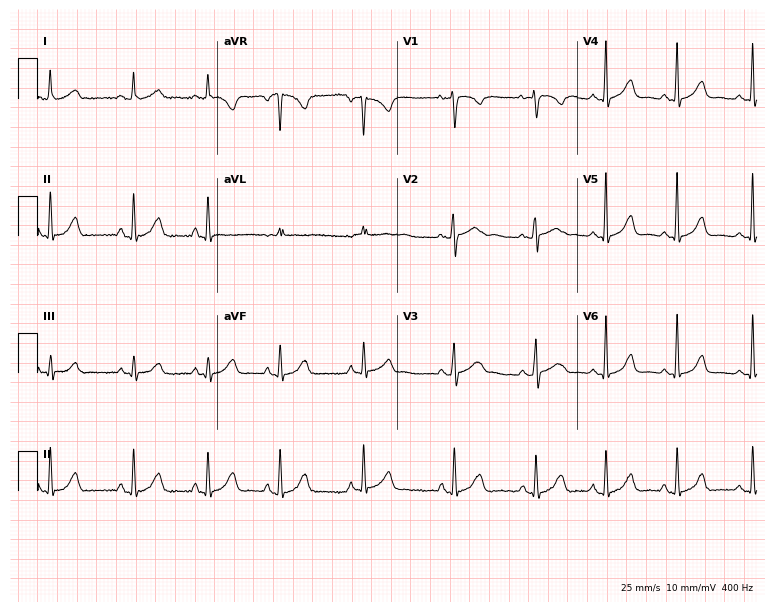
ECG (7.3-second recording at 400 Hz) — a woman, 24 years old. Labelled as a normal ECG.